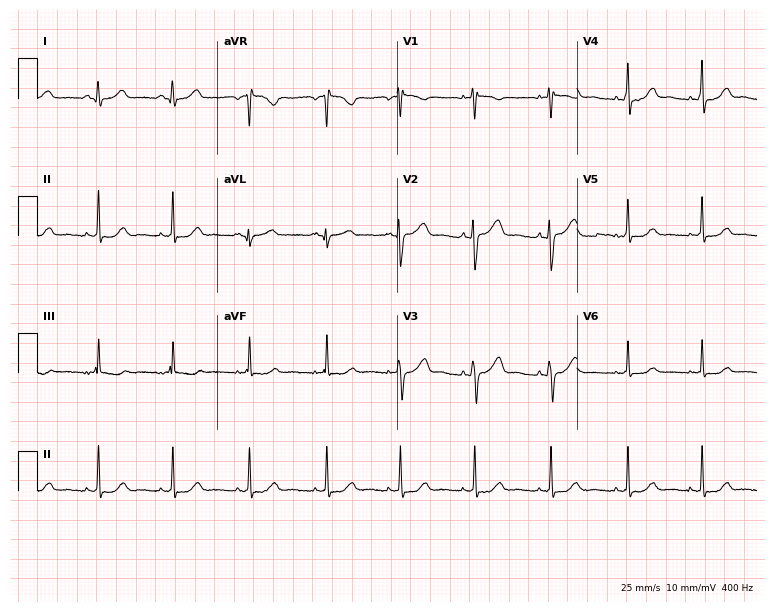
12-lead ECG from a female, 26 years old. Recorded interpretation: within normal limits.